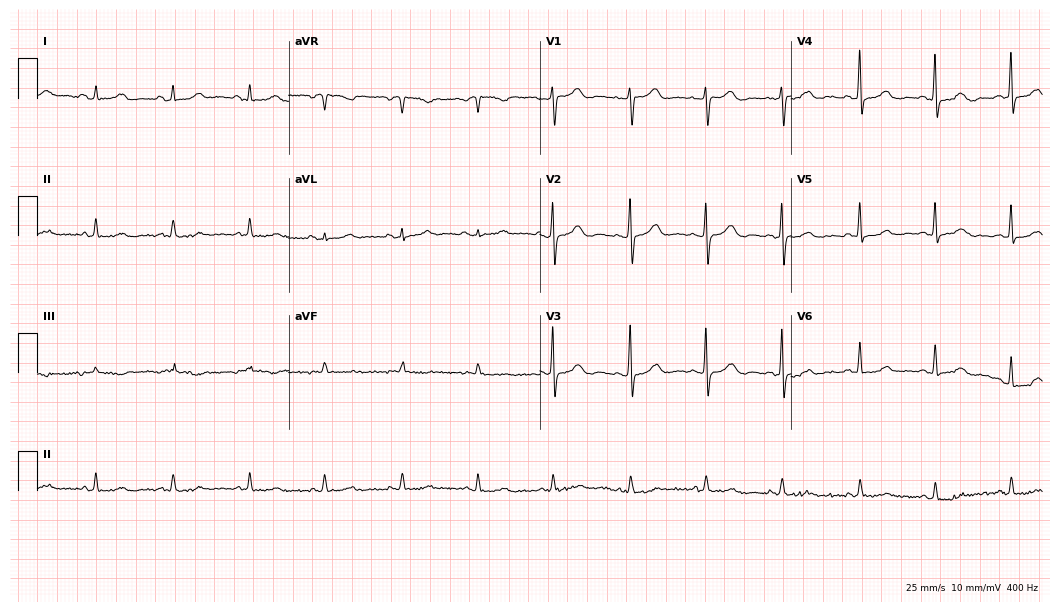
Standard 12-lead ECG recorded from a female, 83 years old. None of these six findings is recorded: first-degree AV block, right bundle branch block, left bundle branch block, sinus bradycardia, atrial fibrillation, sinus tachycardia. Findings outside these six are not listed.